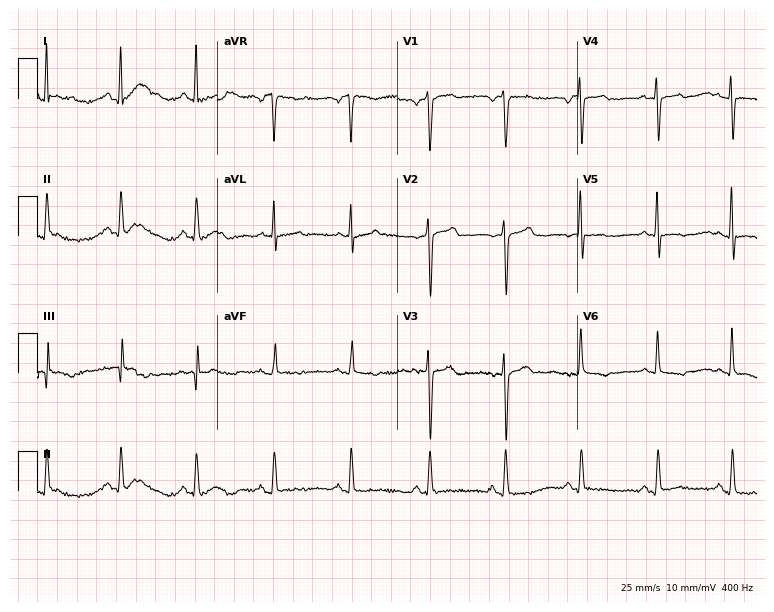
12-lead ECG from a female patient, 71 years old. No first-degree AV block, right bundle branch block, left bundle branch block, sinus bradycardia, atrial fibrillation or sinus tachycardia recorded for this tracing.